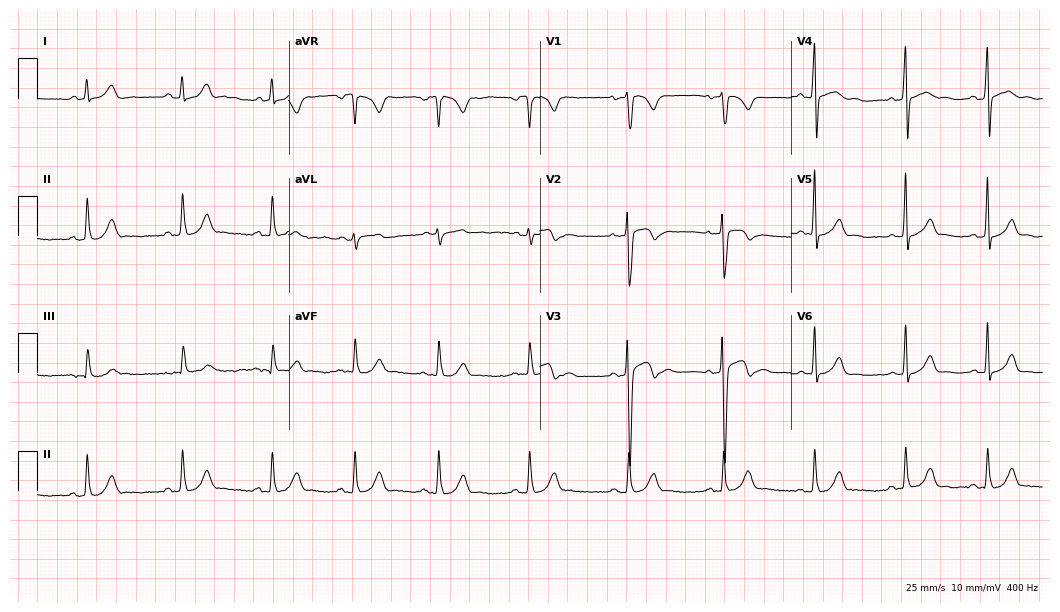
ECG — a 23-year-old man. Labelled as a normal ECG.